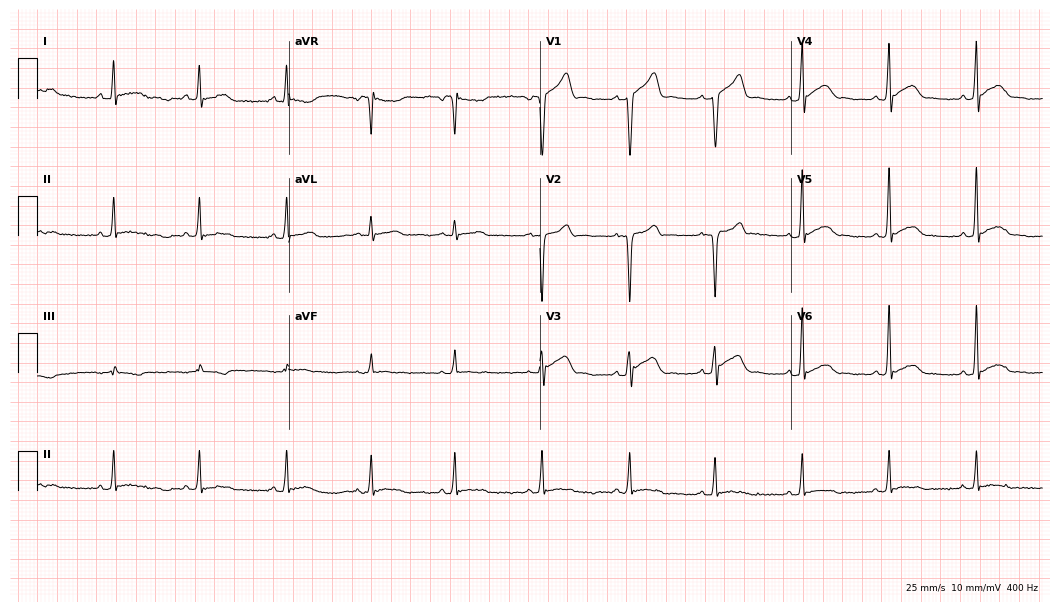
ECG (10.2-second recording at 400 Hz) — an 82-year-old male patient. Screened for six findings — first-degree AV block, right bundle branch block, left bundle branch block, sinus bradycardia, atrial fibrillation, sinus tachycardia — none is recorded.